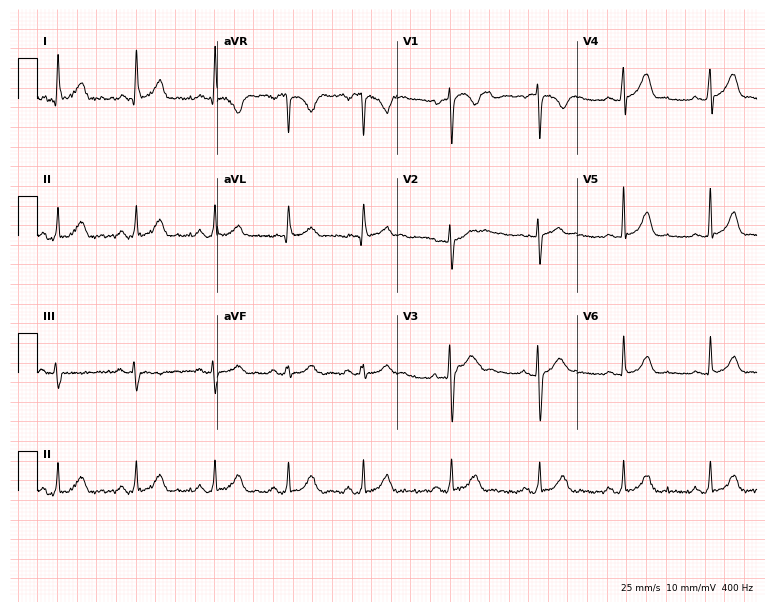
Standard 12-lead ECG recorded from a female patient, 26 years old (7.3-second recording at 400 Hz). Read as a normal ECG.